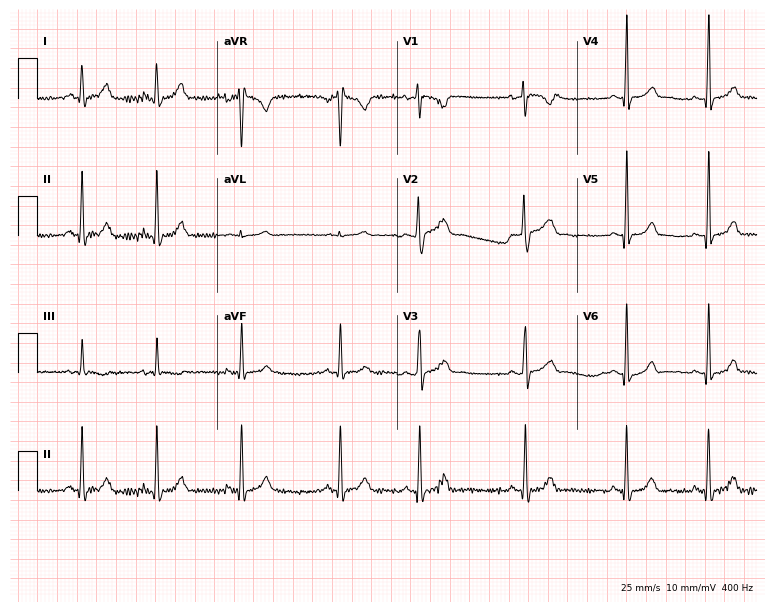
Standard 12-lead ECG recorded from a female patient, 26 years old. None of these six findings is recorded: first-degree AV block, right bundle branch block, left bundle branch block, sinus bradycardia, atrial fibrillation, sinus tachycardia. Only these six findings were labelled.